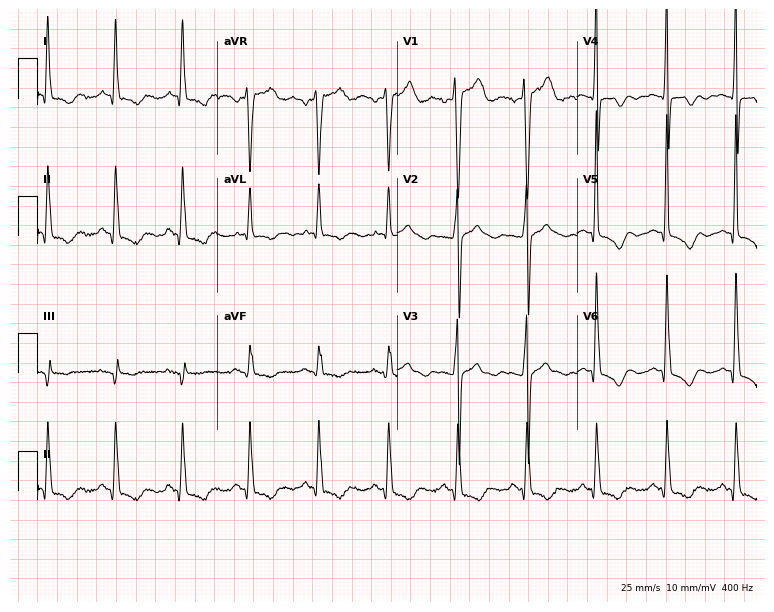
Electrocardiogram (7.3-second recording at 400 Hz), a man, 49 years old. Of the six screened findings (first-degree AV block, right bundle branch block, left bundle branch block, sinus bradycardia, atrial fibrillation, sinus tachycardia), none is recorded. Only these six findings were labelled.